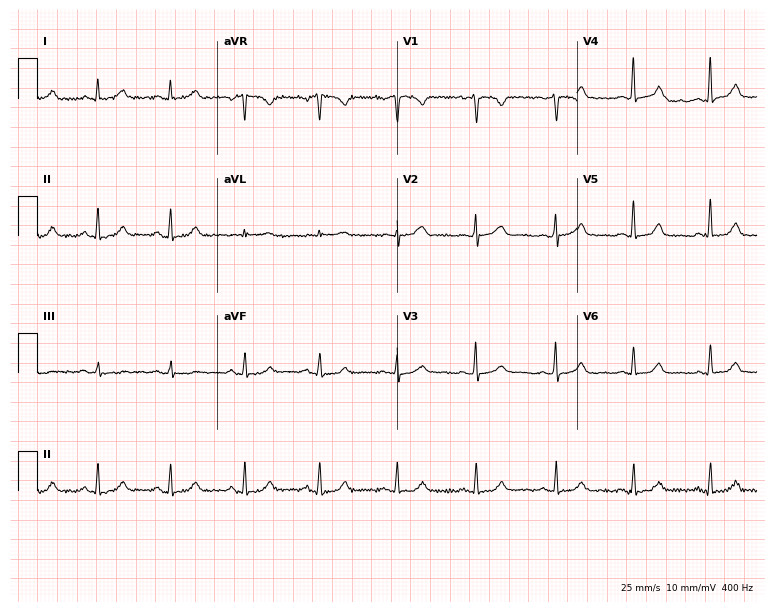
Electrocardiogram (7.3-second recording at 400 Hz), a female, 46 years old. Overall reading on record: normal ECG.